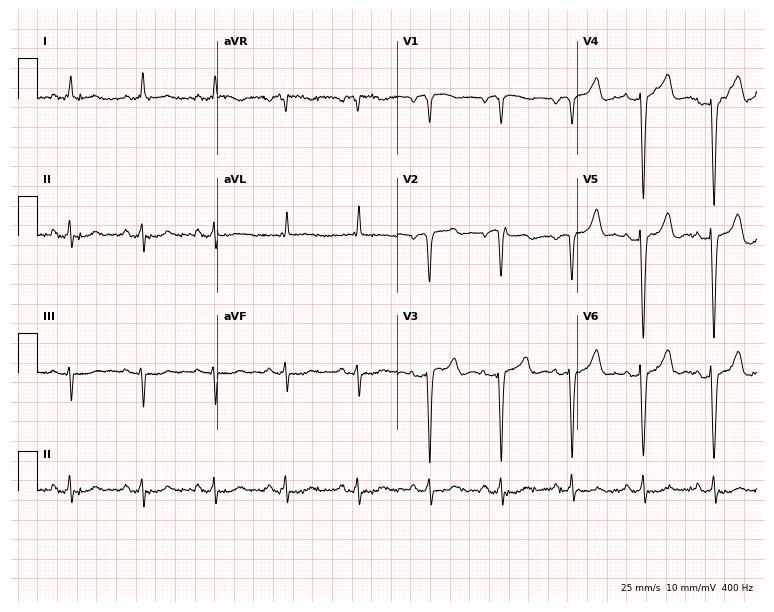
ECG — a male, 82 years old. Screened for six findings — first-degree AV block, right bundle branch block, left bundle branch block, sinus bradycardia, atrial fibrillation, sinus tachycardia — none is recorded. Other findings, if any, are not listed.